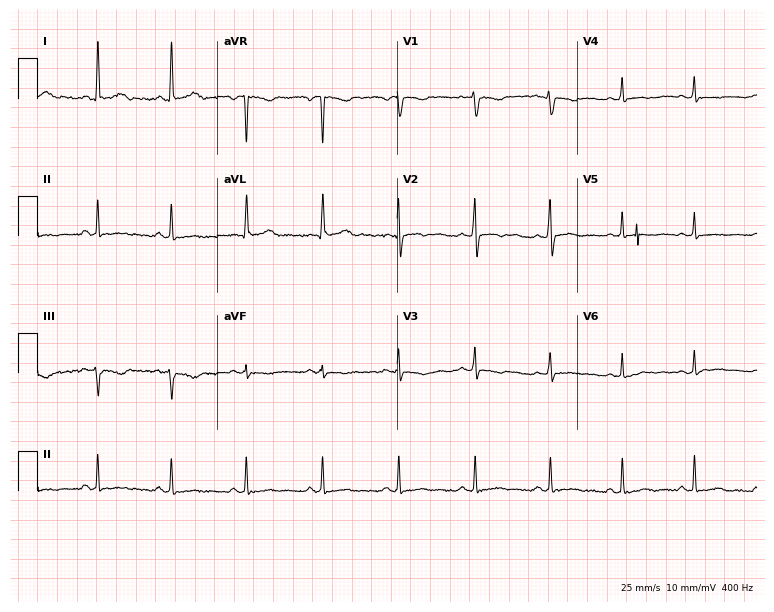
12-lead ECG from a female patient, 36 years old. Labelled as a normal ECG.